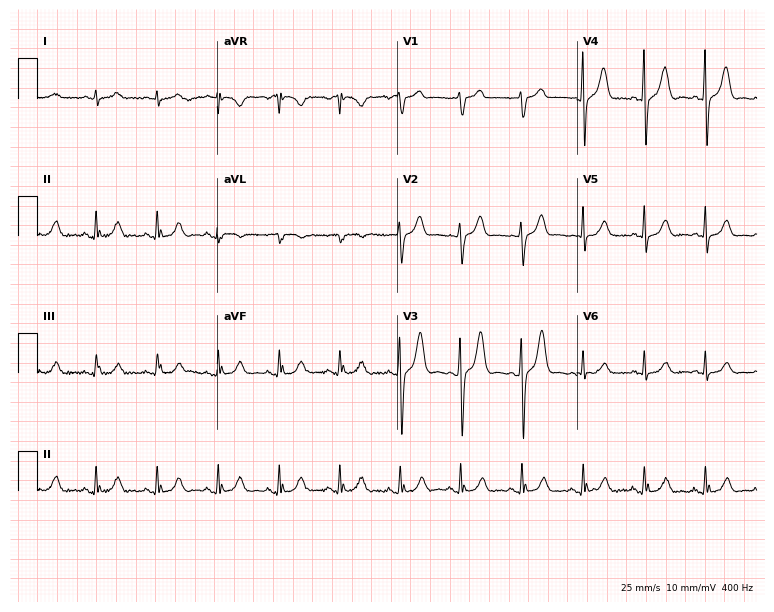
ECG (7.3-second recording at 400 Hz) — a female, 56 years old. Labelled as a normal ECG.